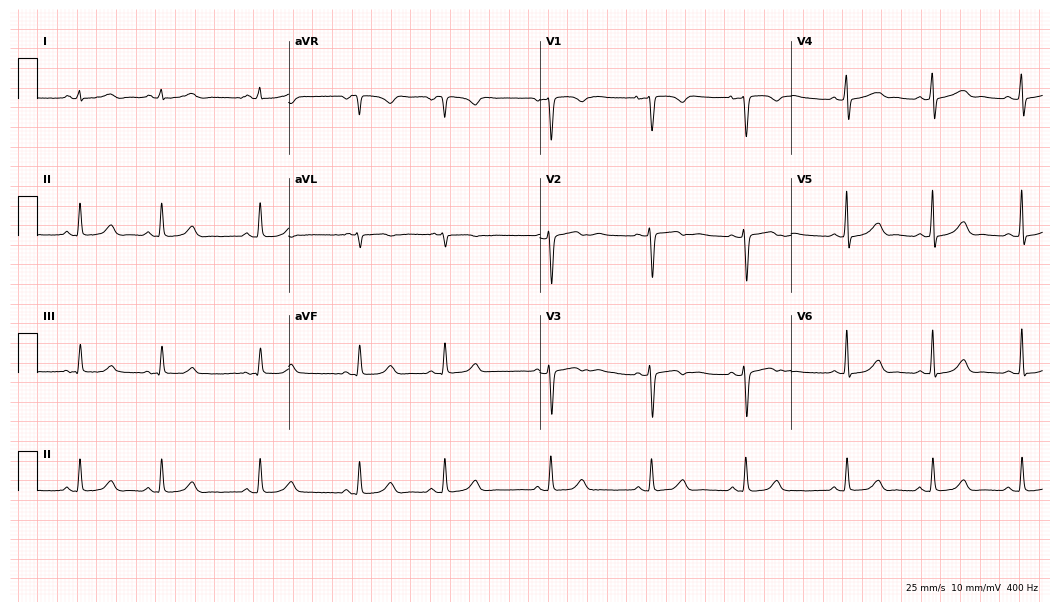
ECG — an 18-year-old female patient. Labelled as a normal ECG.